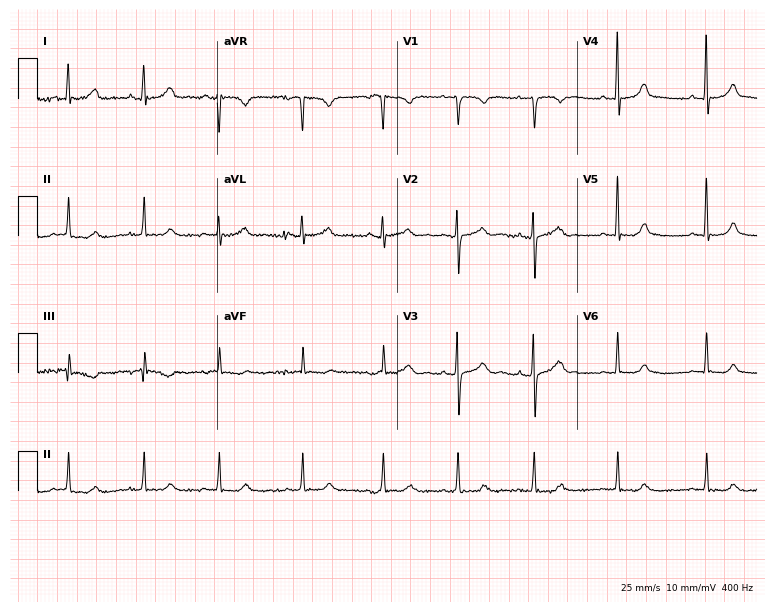
Standard 12-lead ECG recorded from a 28-year-old female patient. Read as a normal ECG.